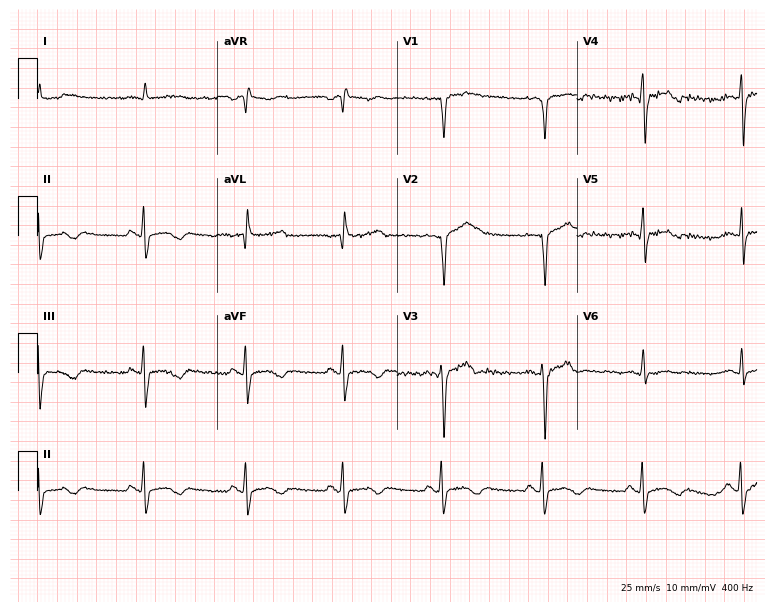
12-lead ECG from a 26-year-old man. Screened for six findings — first-degree AV block, right bundle branch block, left bundle branch block, sinus bradycardia, atrial fibrillation, sinus tachycardia — none is recorded.